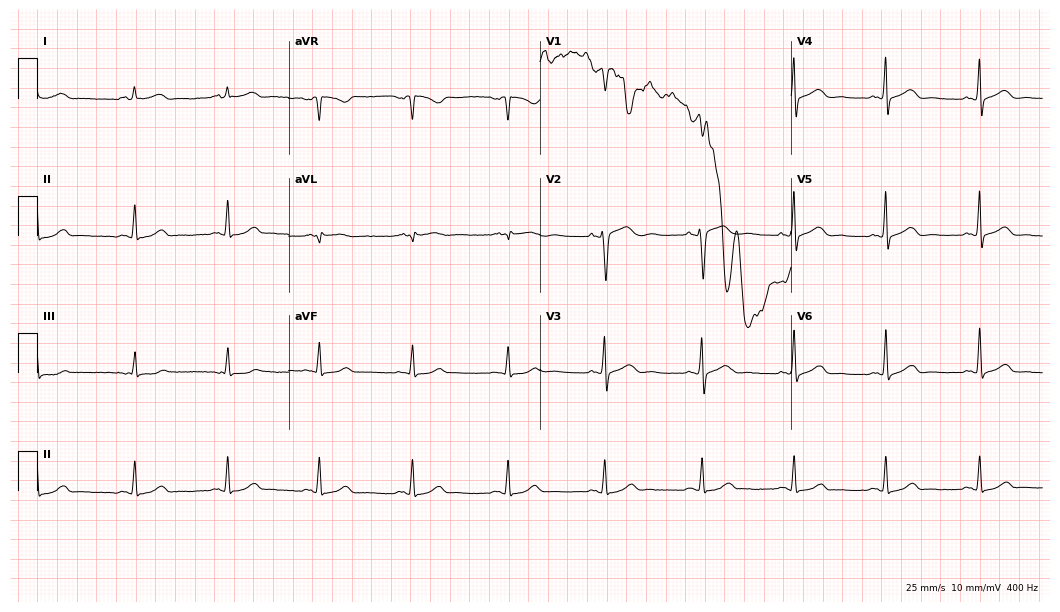
Electrocardiogram, a female patient, 51 years old. Of the six screened findings (first-degree AV block, right bundle branch block, left bundle branch block, sinus bradycardia, atrial fibrillation, sinus tachycardia), none is recorded.